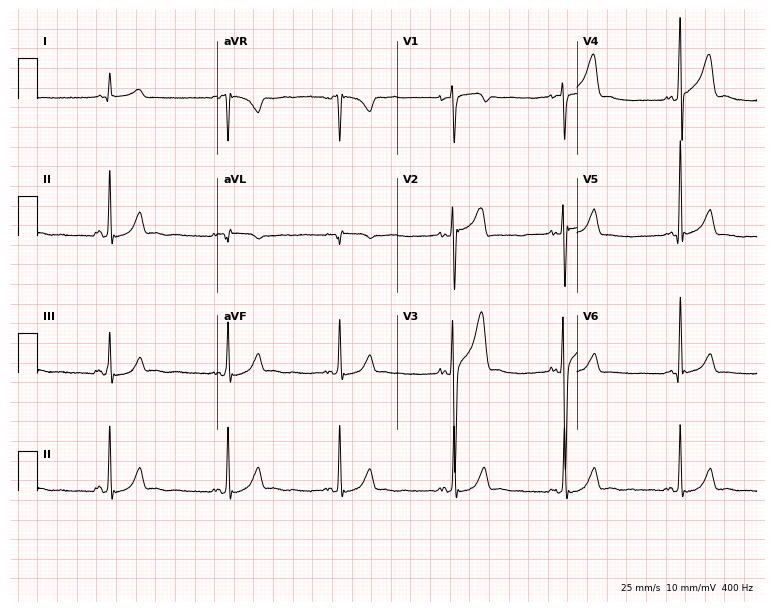
Electrocardiogram (7.3-second recording at 400 Hz), a 59-year-old male patient. Interpretation includes sinus bradycardia (a sinus rate of 50 beats per minute or less).